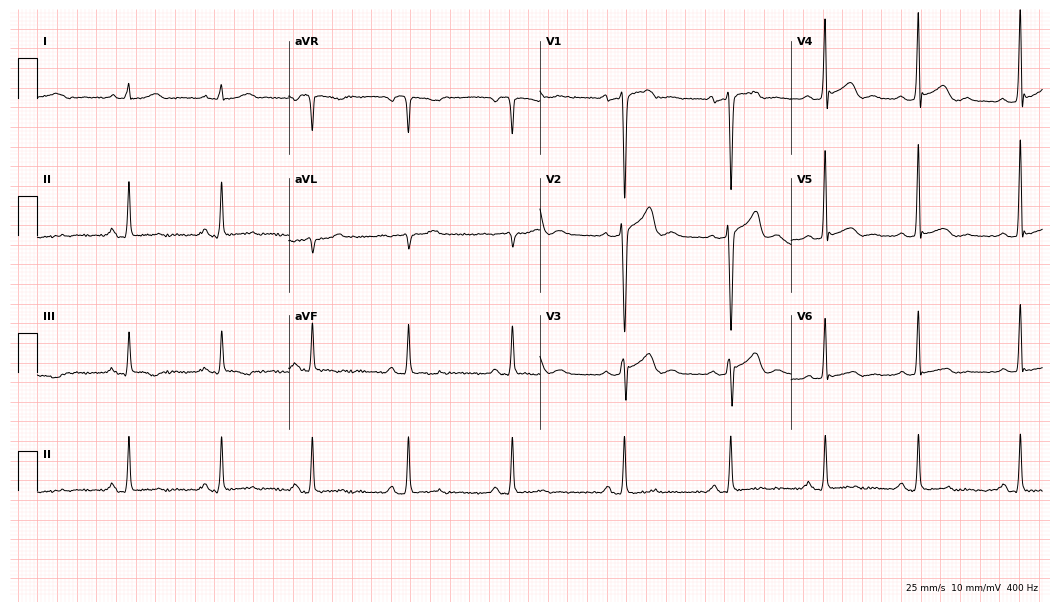
Electrocardiogram (10.2-second recording at 400 Hz), a male patient, 29 years old. Of the six screened findings (first-degree AV block, right bundle branch block (RBBB), left bundle branch block (LBBB), sinus bradycardia, atrial fibrillation (AF), sinus tachycardia), none is recorded. Findings outside these six are not listed.